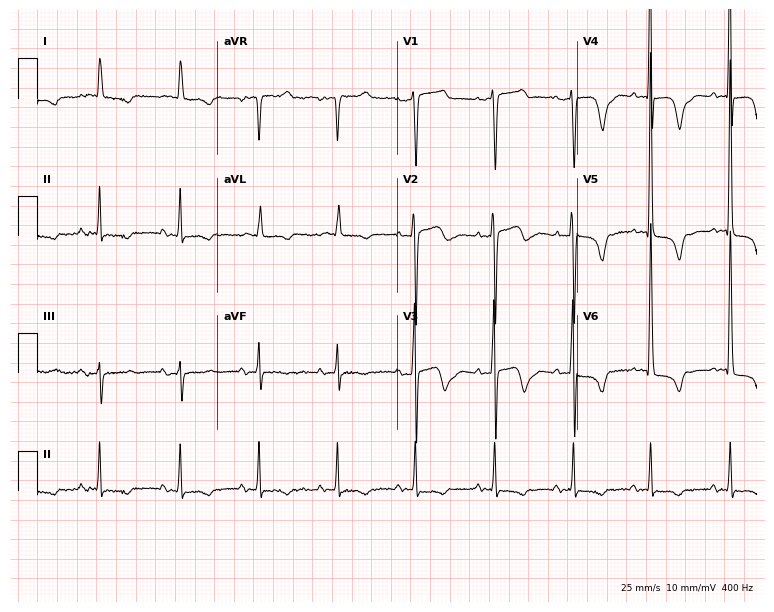
ECG — an 85-year-old male patient. Labelled as a normal ECG.